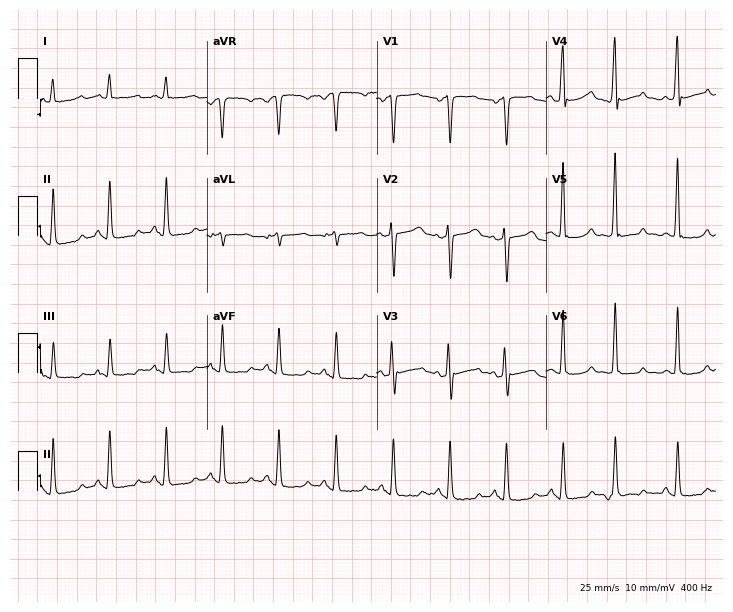
12-lead ECG from a male patient, 62 years old (6.9-second recording at 400 Hz). Shows sinus tachycardia (a sinus rate of 100 beats per minute or more).